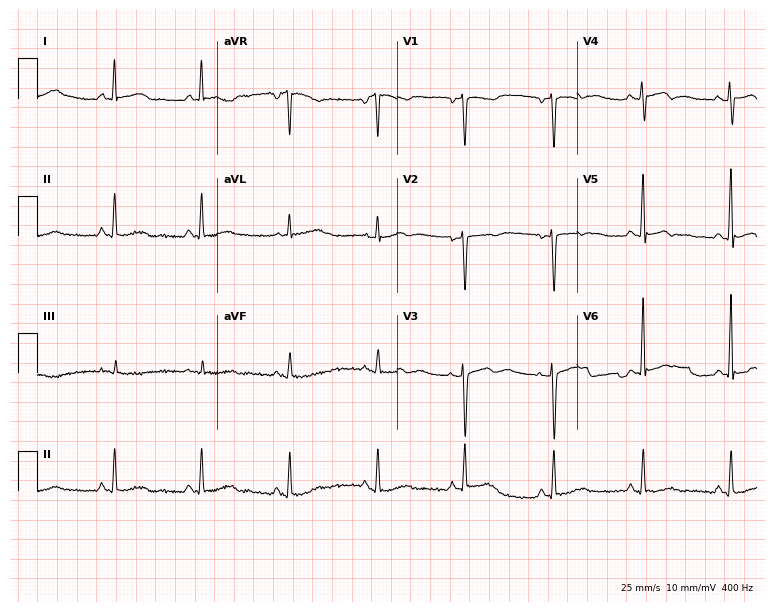
ECG — a female, 38 years old. Labelled as a normal ECG.